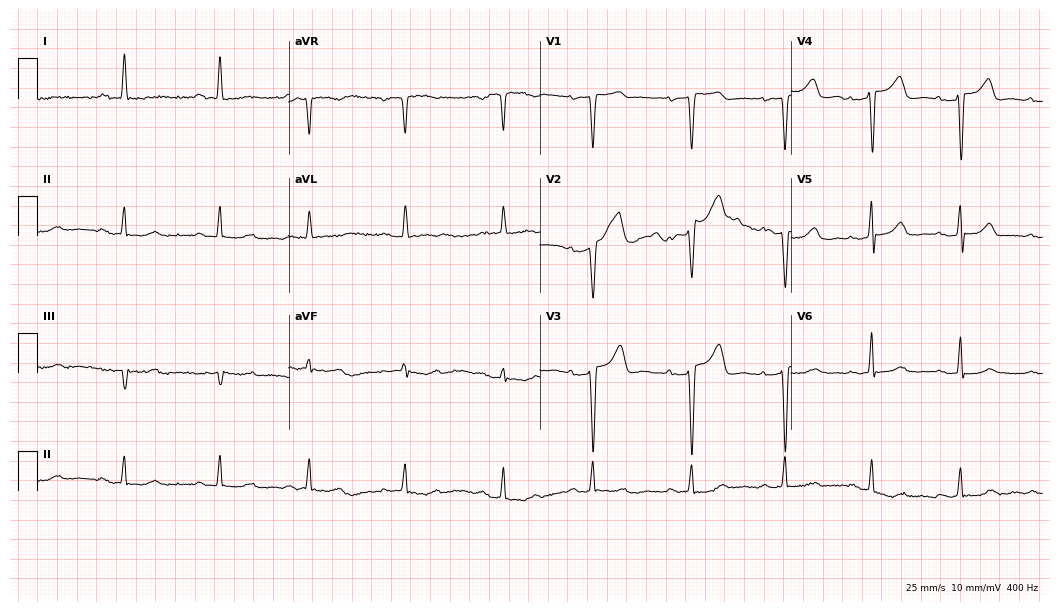
12-lead ECG from a female, 39 years old (10.2-second recording at 400 Hz). Shows first-degree AV block.